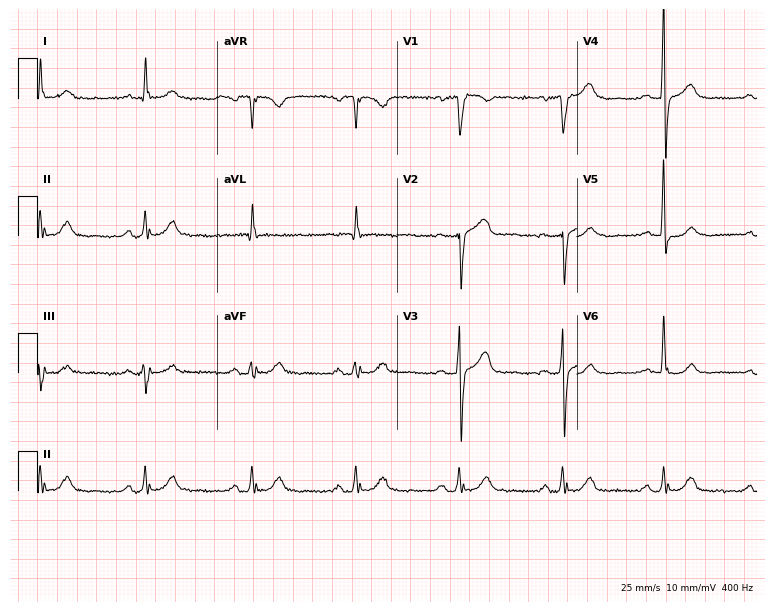
Electrocardiogram, a 72-year-old male patient. Of the six screened findings (first-degree AV block, right bundle branch block, left bundle branch block, sinus bradycardia, atrial fibrillation, sinus tachycardia), none is recorded. Findings outside these six are not listed.